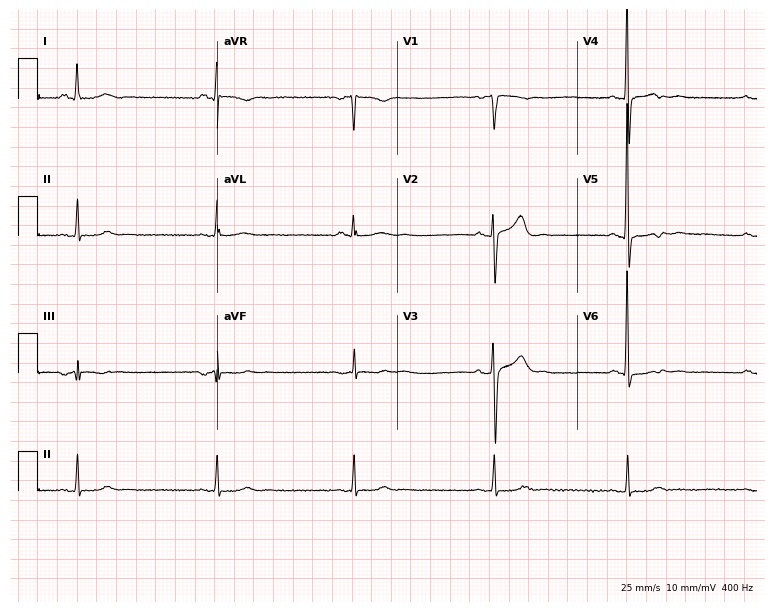
Resting 12-lead electrocardiogram. Patient: a 48-year-old man. None of these six findings is recorded: first-degree AV block, right bundle branch block (RBBB), left bundle branch block (LBBB), sinus bradycardia, atrial fibrillation (AF), sinus tachycardia.